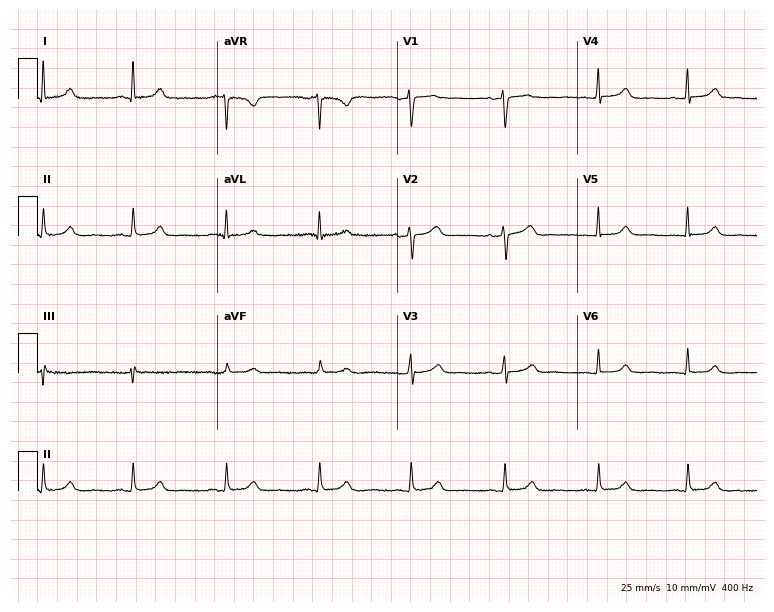
Electrocardiogram (7.3-second recording at 400 Hz), a 66-year-old female patient. Overall reading on record: normal ECG.